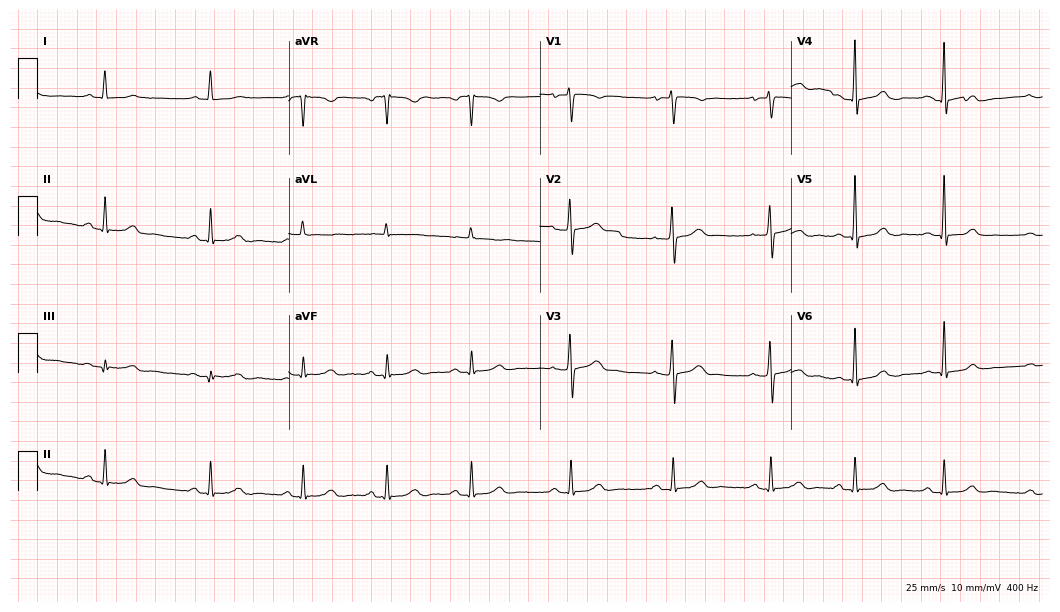
12-lead ECG from a 34-year-old woman. Labelled as a normal ECG.